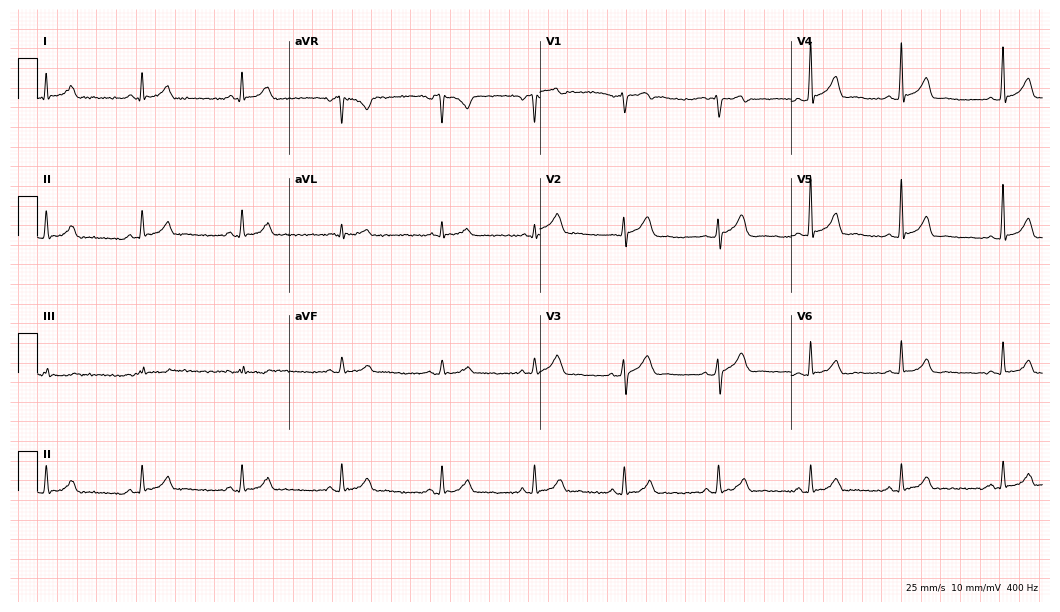
Standard 12-lead ECG recorded from a female, 53 years old. Read as a normal ECG.